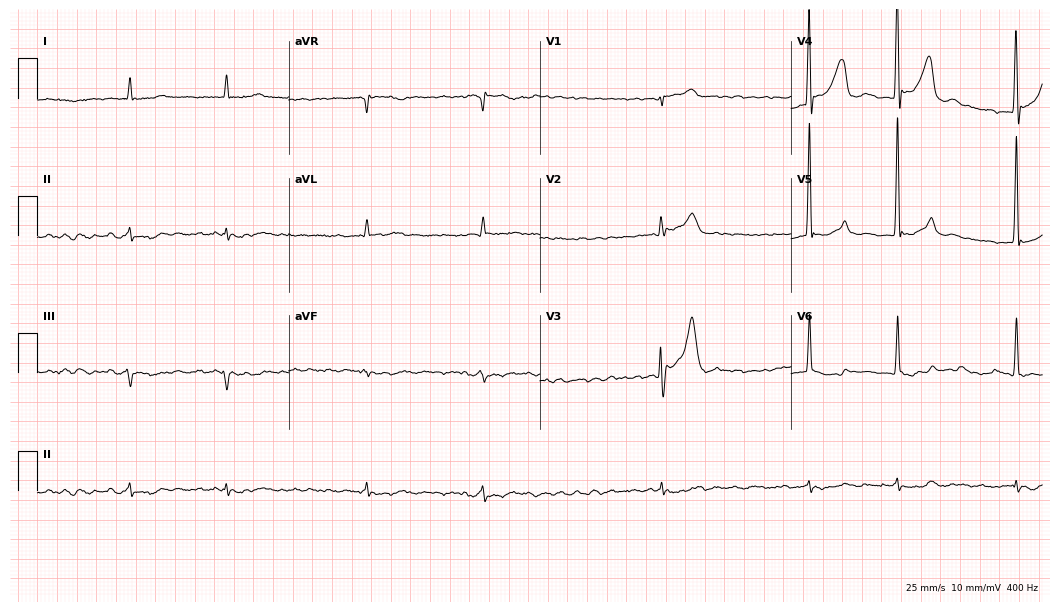
12-lead ECG (10.2-second recording at 400 Hz) from a man, 81 years old. Findings include atrial fibrillation.